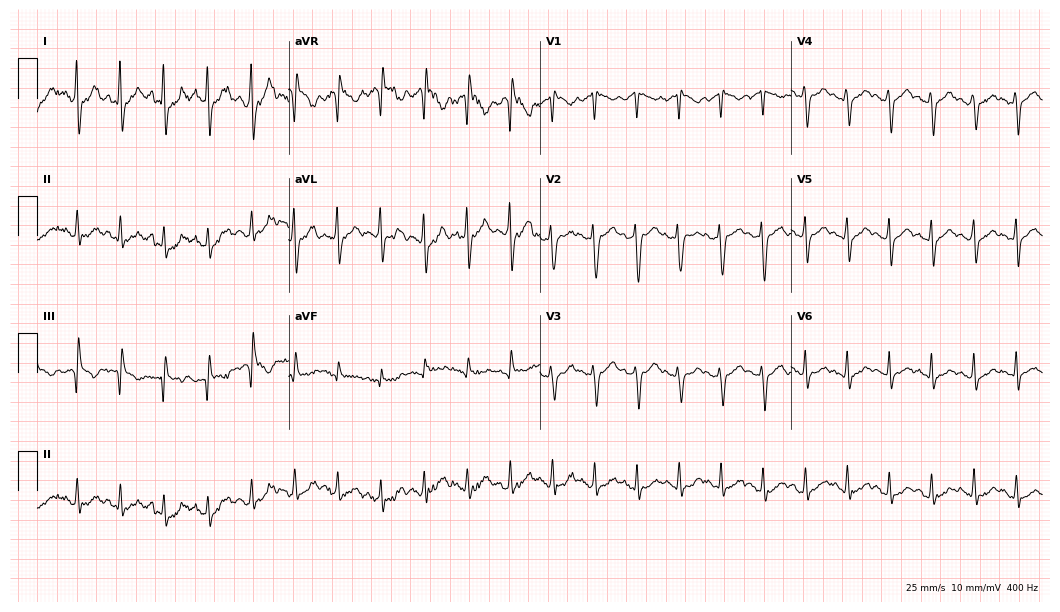
12-lead ECG from a 39-year-old man. Findings include sinus tachycardia (a sinus rate of 100 beats per minute or more).